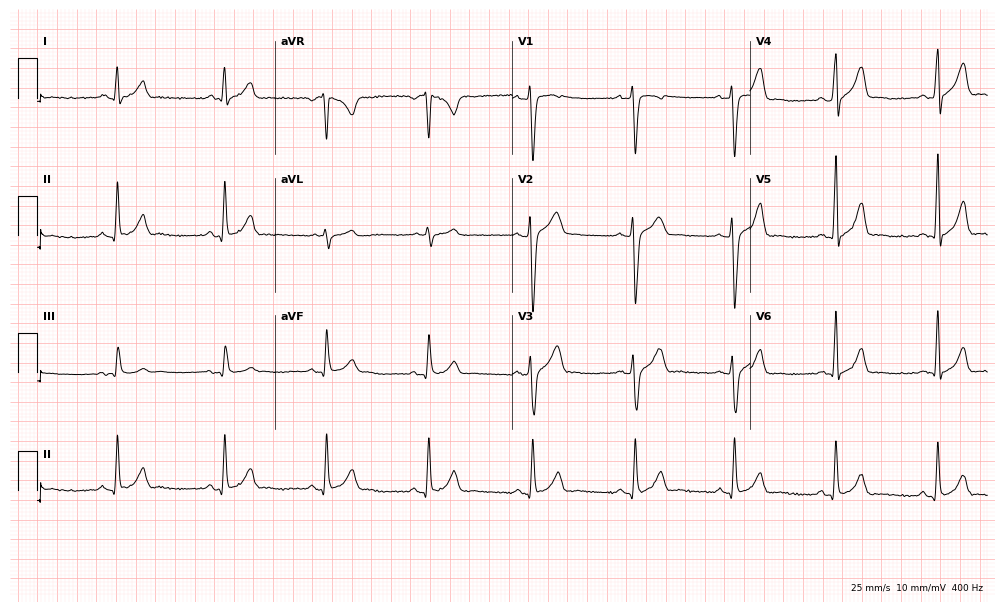
ECG — a 32-year-old man. Screened for six findings — first-degree AV block, right bundle branch block (RBBB), left bundle branch block (LBBB), sinus bradycardia, atrial fibrillation (AF), sinus tachycardia — none is recorded. Findings outside these six are not listed.